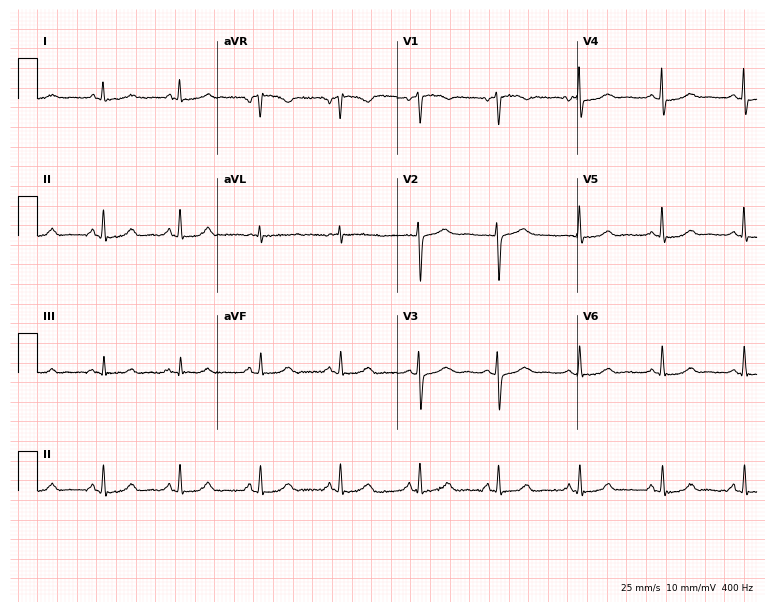
ECG (7.3-second recording at 400 Hz) — a male patient, 49 years old. Labelled as a normal ECG.